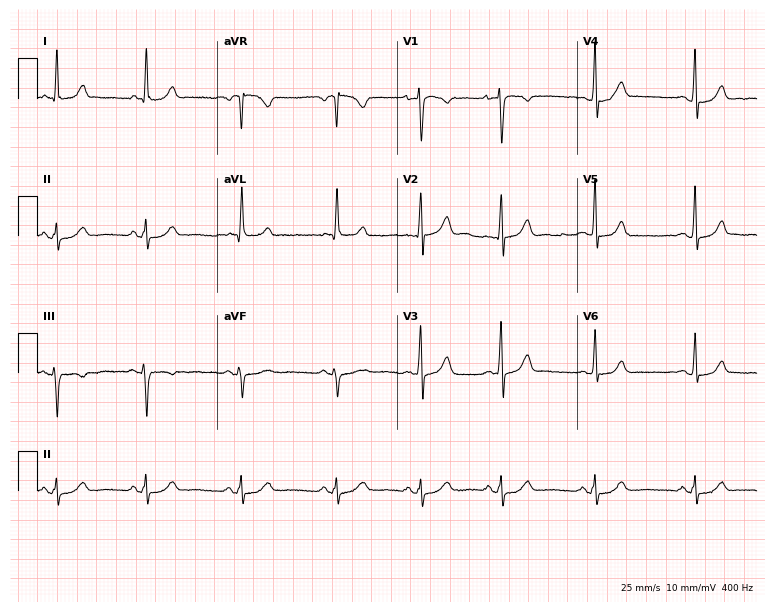
ECG — a 49-year-old woman. Labelled as a normal ECG.